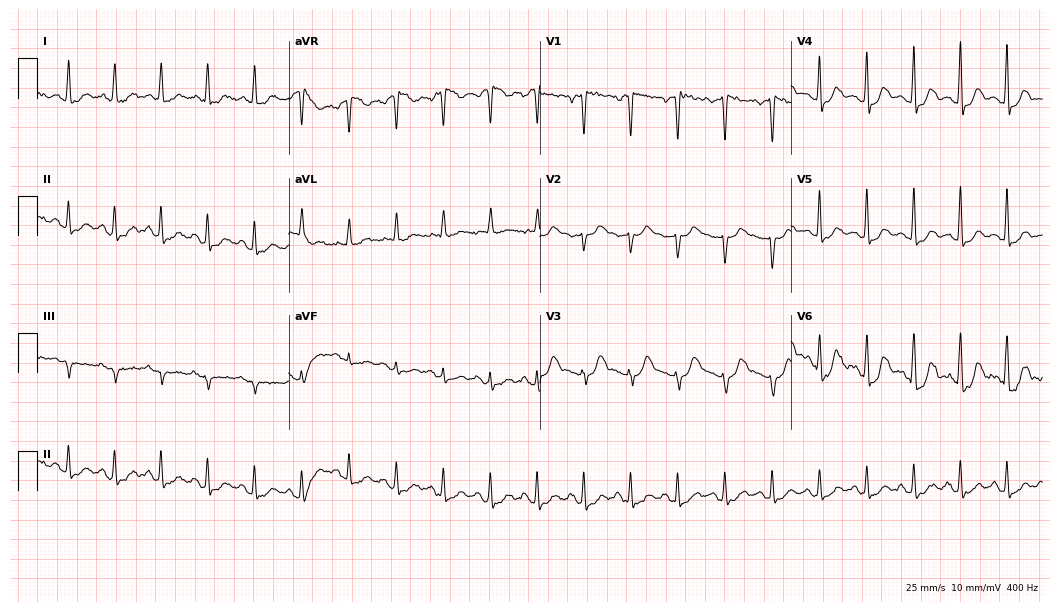
12-lead ECG from a female patient, 44 years old. Screened for six findings — first-degree AV block, right bundle branch block, left bundle branch block, sinus bradycardia, atrial fibrillation, sinus tachycardia — none is recorded.